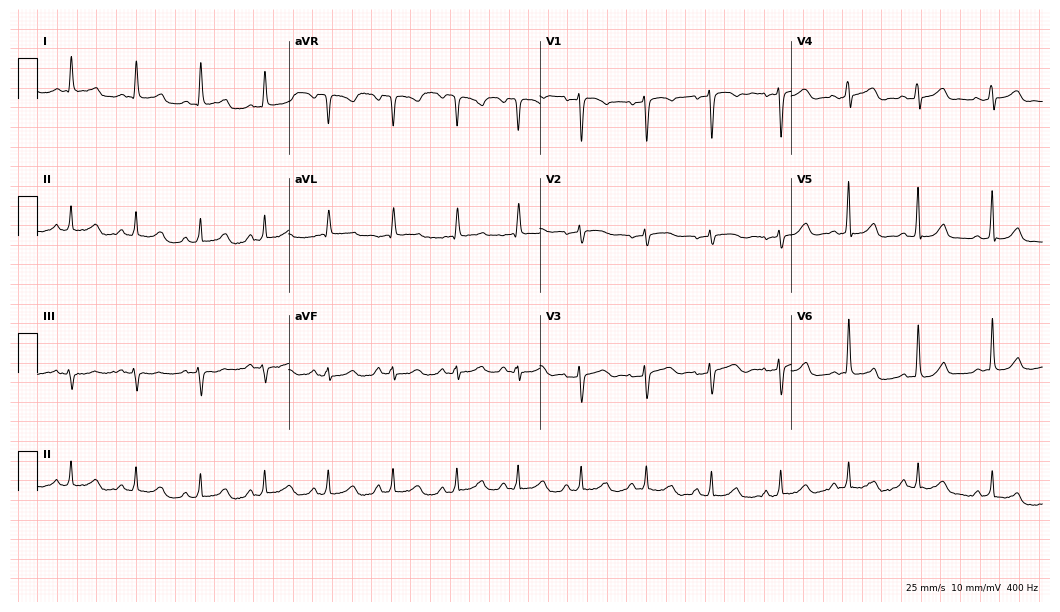
Electrocardiogram (10.2-second recording at 400 Hz), a woman, 46 years old. Overall reading on record: normal ECG.